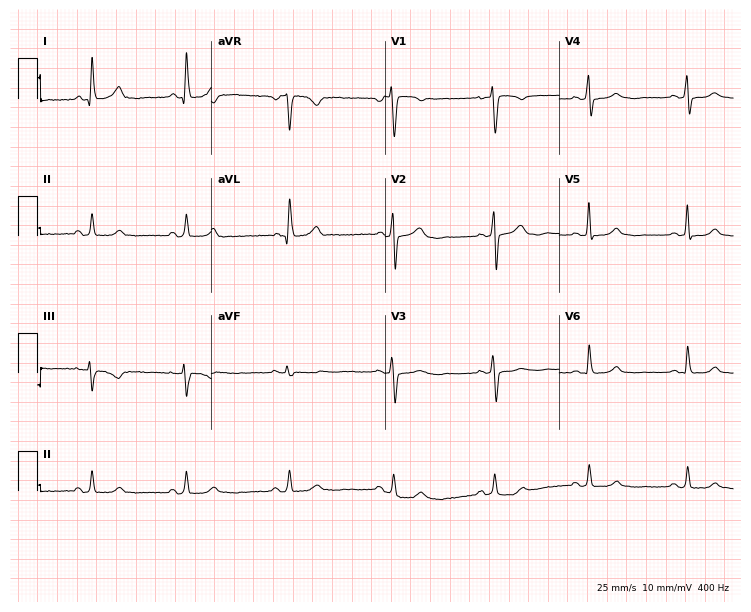
Electrocardiogram, a 46-year-old woman. Of the six screened findings (first-degree AV block, right bundle branch block, left bundle branch block, sinus bradycardia, atrial fibrillation, sinus tachycardia), none is recorded. Only these six findings were labelled.